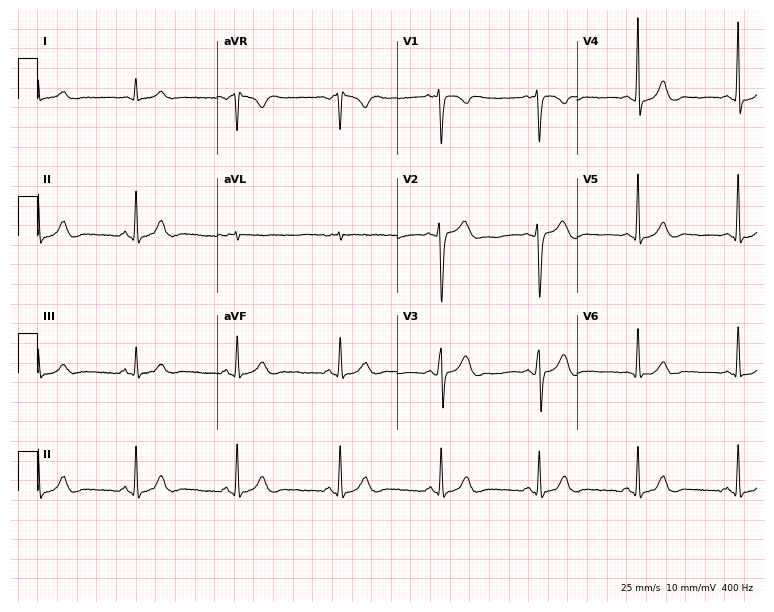
ECG — a man, 39 years old. Labelled as a normal ECG.